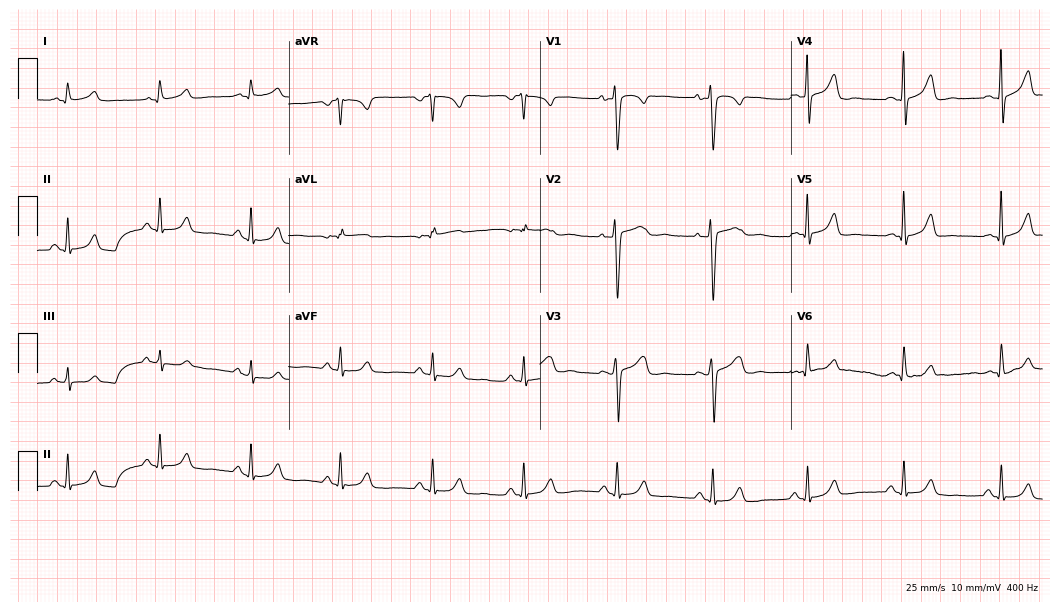
Resting 12-lead electrocardiogram. Patient: a 41-year-old female. Read as a normal ECG.